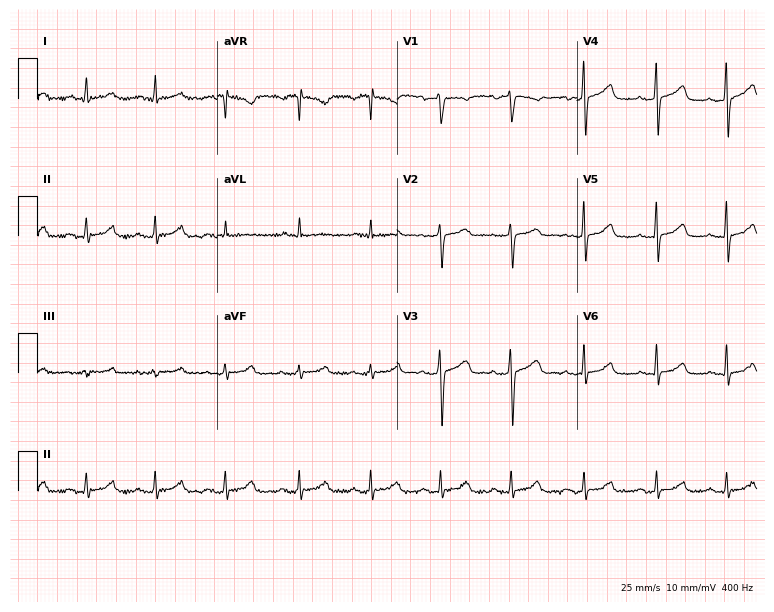
12-lead ECG (7.3-second recording at 400 Hz) from a woman, 41 years old. Labelled as a normal ECG.